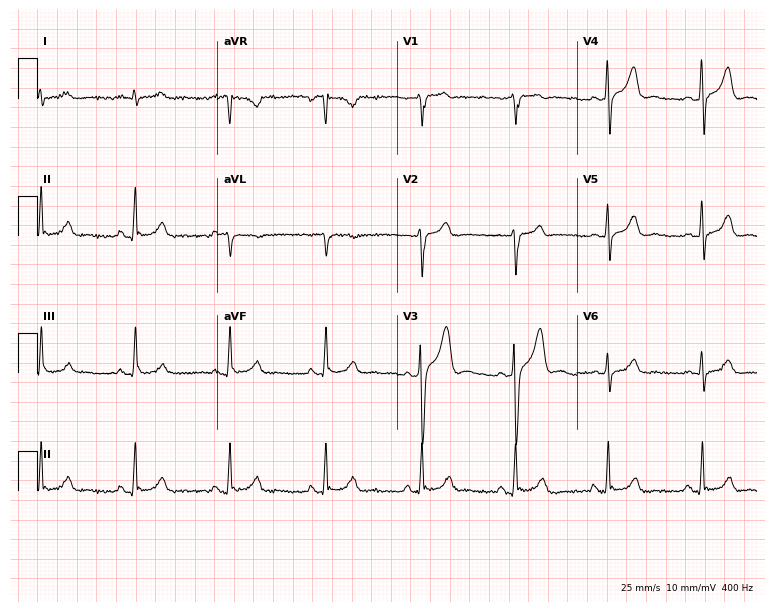
Resting 12-lead electrocardiogram (7.3-second recording at 400 Hz). Patient: a 39-year-old man. Read as a normal ECG.